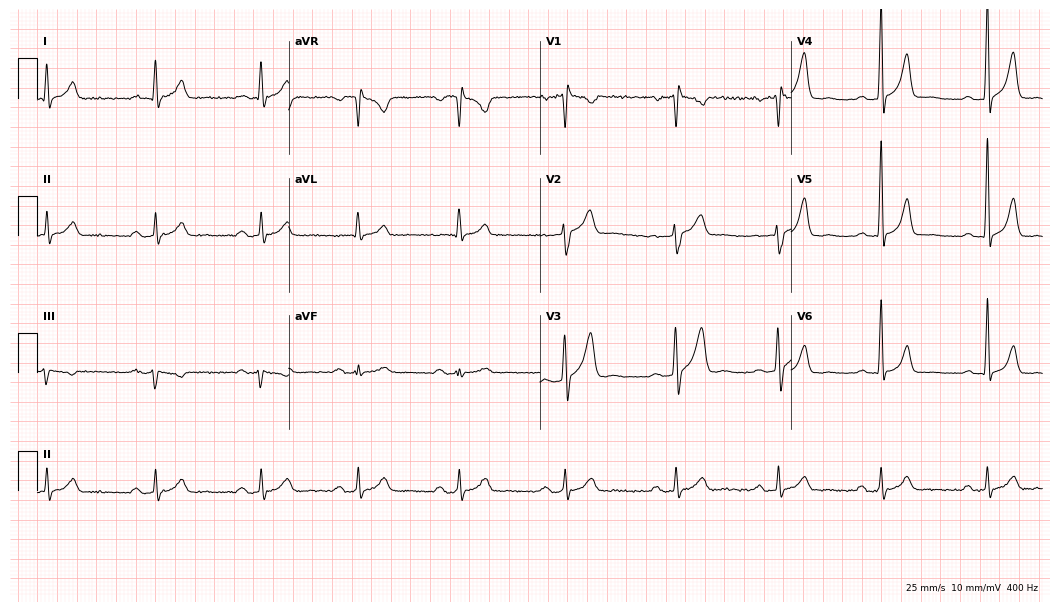
12-lead ECG (10.2-second recording at 400 Hz) from a man, 51 years old. Screened for six findings — first-degree AV block, right bundle branch block, left bundle branch block, sinus bradycardia, atrial fibrillation, sinus tachycardia — none is recorded.